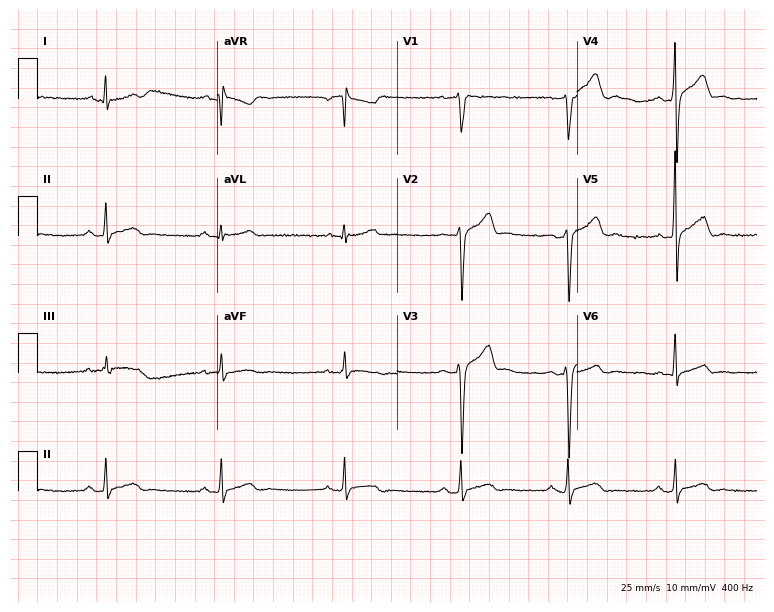
12-lead ECG from a 31-year-old man. Labelled as a normal ECG.